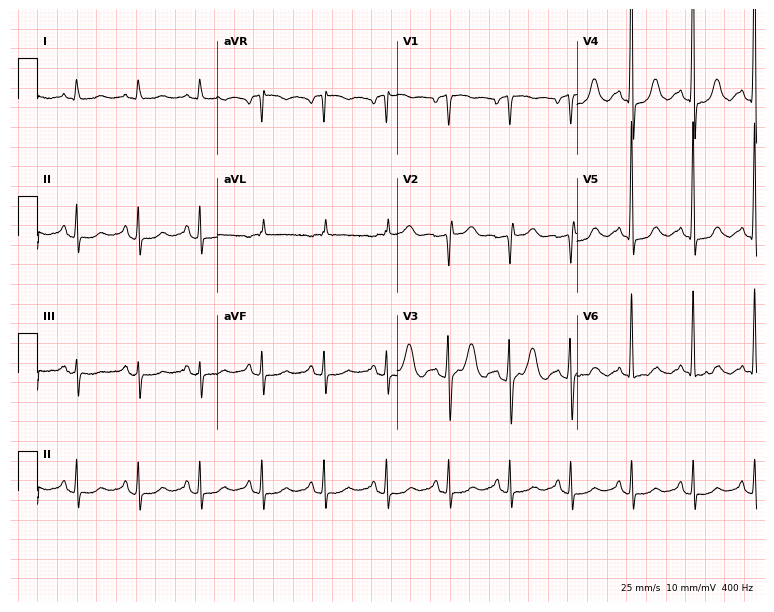
Standard 12-lead ECG recorded from a woman, 67 years old (7.3-second recording at 400 Hz). None of these six findings is recorded: first-degree AV block, right bundle branch block (RBBB), left bundle branch block (LBBB), sinus bradycardia, atrial fibrillation (AF), sinus tachycardia.